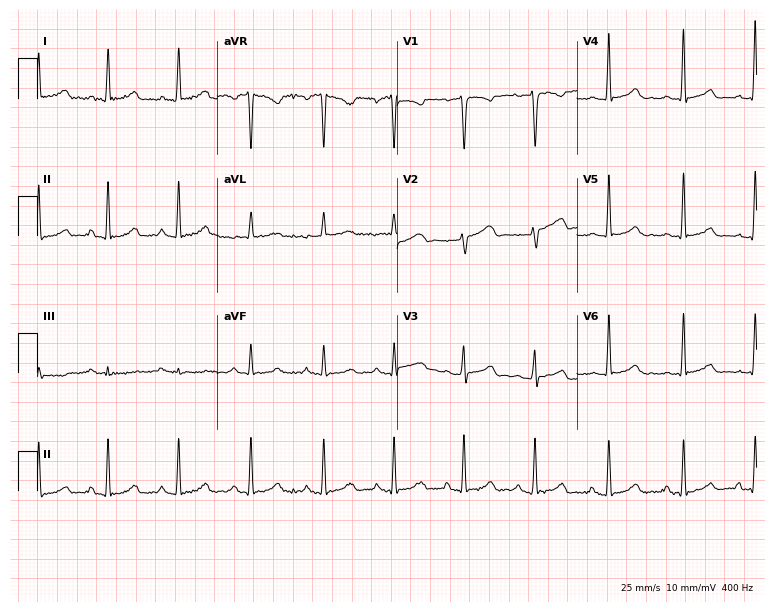
ECG — a 50-year-old female. Screened for six findings — first-degree AV block, right bundle branch block, left bundle branch block, sinus bradycardia, atrial fibrillation, sinus tachycardia — none is recorded.